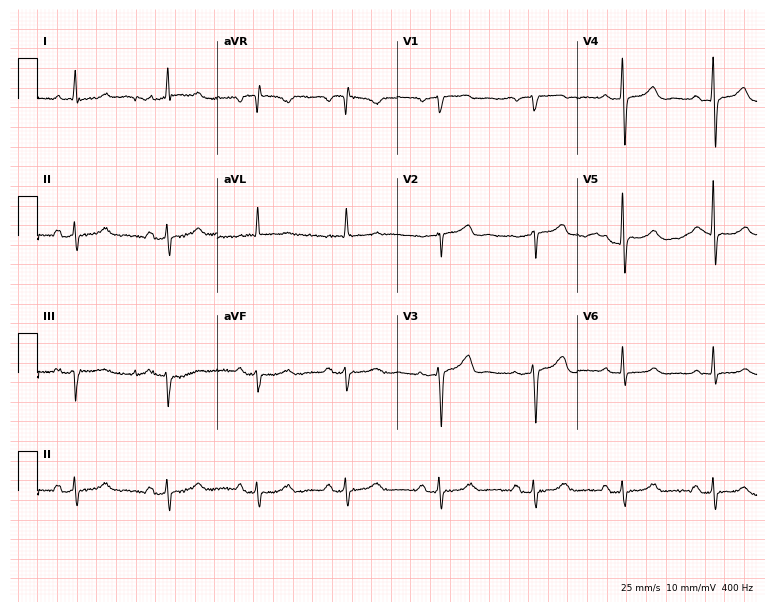
12-lead ECG from a female, 78 years old. Screened for six findings — first-degree AV block, right bundle branch block, left bundle branch block, sinus bradycardia, atrial fibrillation, sinus tachycardia — none is recorded. Only these six findings were labelled.